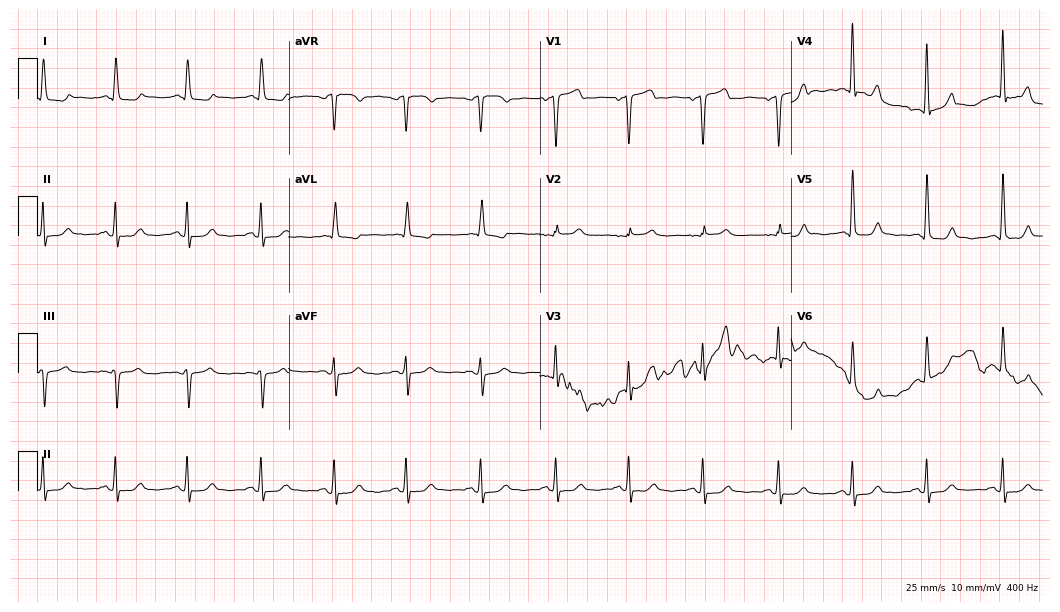
Standard 12-lead ECG recorded from a 56-year-old female patient (10.2-second recording at 400 Hz). None of these six findings is recorded: first-degree AV block, right bundle branch block, left bundle branch block, sinus bradycardia, atrial fibrillation, sinus tachycardia.